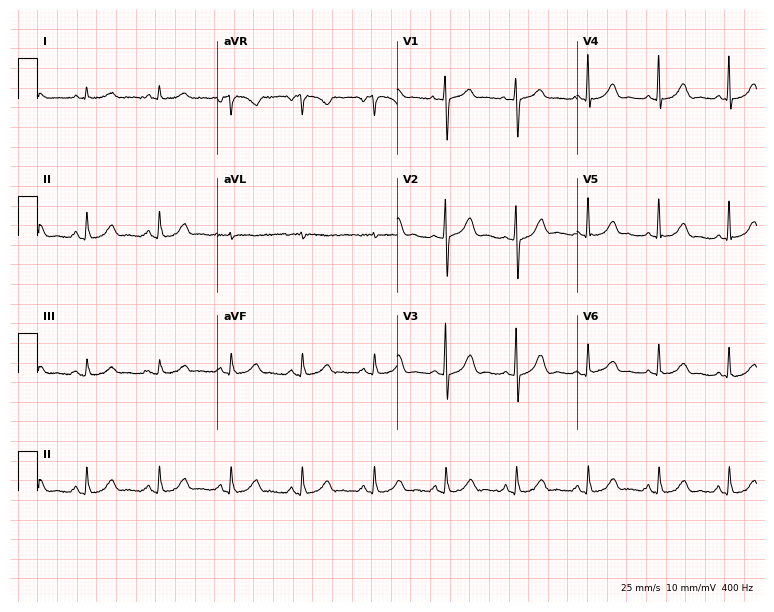
Electrocardiogram (7.3-second recording at 400 Hz), a female patient, 76 years old. Of the six screened findings (first-degree AV block, right bundle branch block, left bundle branch block, sinus bradycardia, atrial fibrillation, sinus tachycardia), none is recorded.